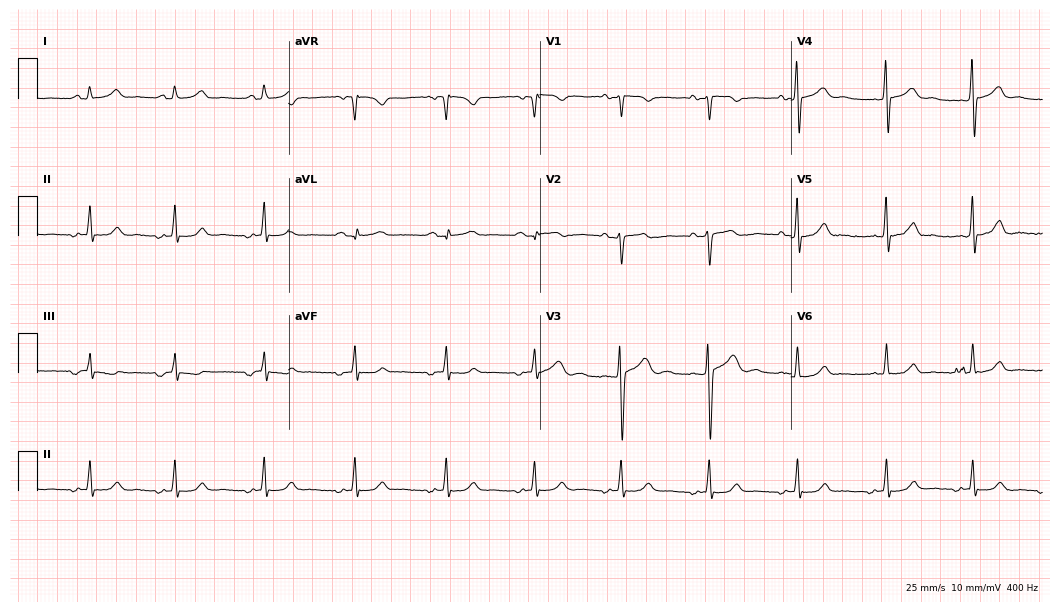
Electrocardiogram, a 20-year-old female patient. Of the six screened findings (first-degree AV block, right bundle branch block, left bundle branch block, sinus bradycardia, atrial fibrillation, sinus tachycardia), none is recorded.